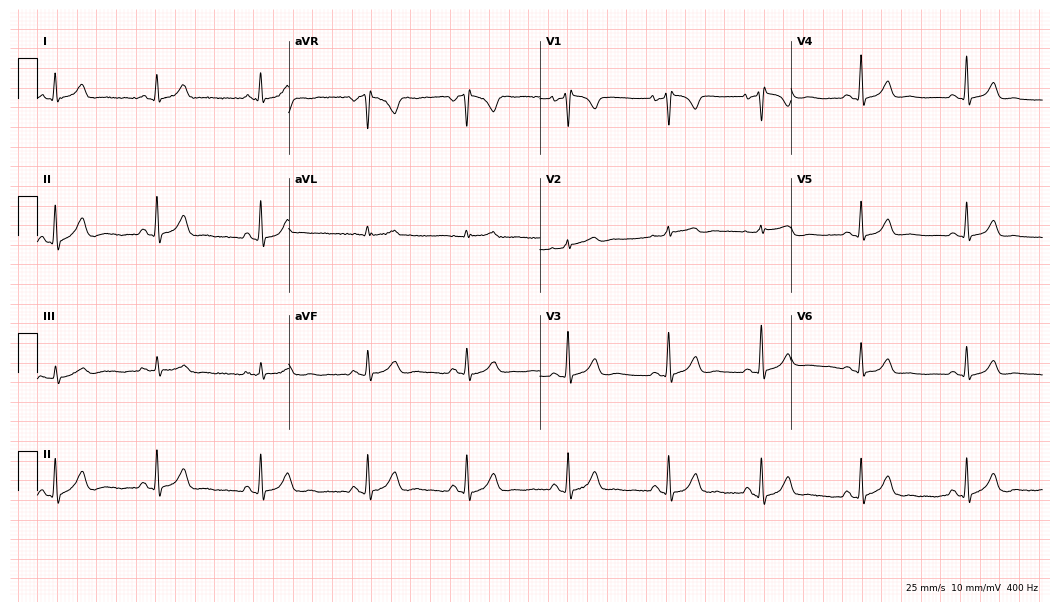
Electrocardiogram (10.2-second recording at 400 Hz), a female patient, 35 years old. Of the six screened findings (first-degree AV block, right bundle branch block (RBBB), left bundle branch block (LBBB), sinus bradycardia, atrial fibrillation (AF), sinus tachycardia), none is recorded.